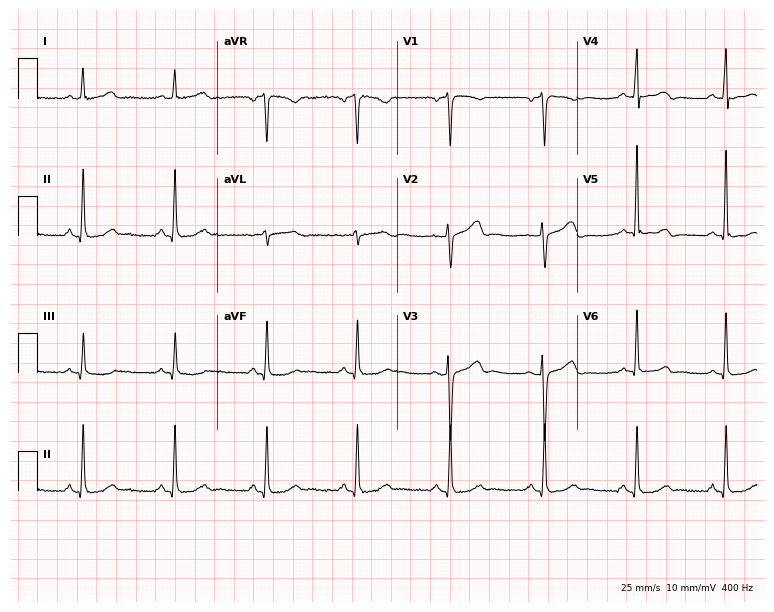
Resting 12-lead electrocardiogram (7.3-second recording at 400 Hz). Patient: a man, 40 years old. Read as a normal ECG.